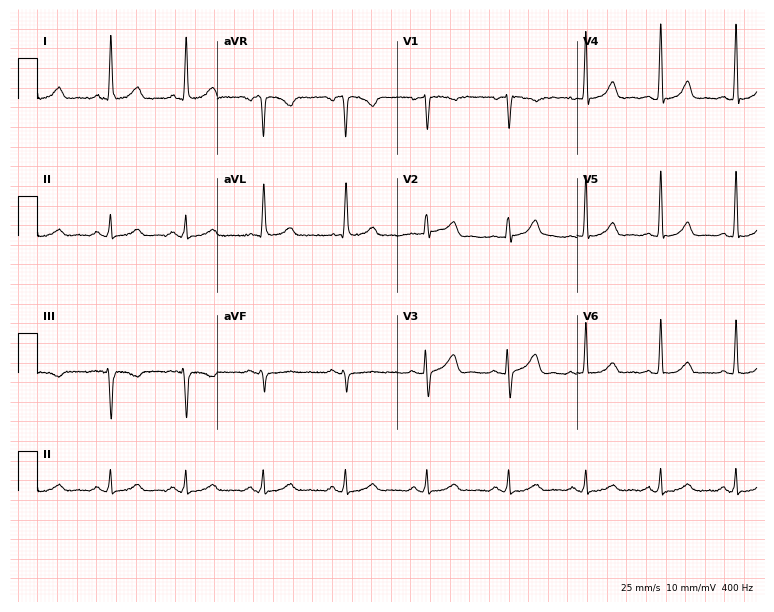
Standard 12-lead ECG recorded from a 52-year-old woman (7.3-second recording at 400 Hz). Read as a normal ECG.